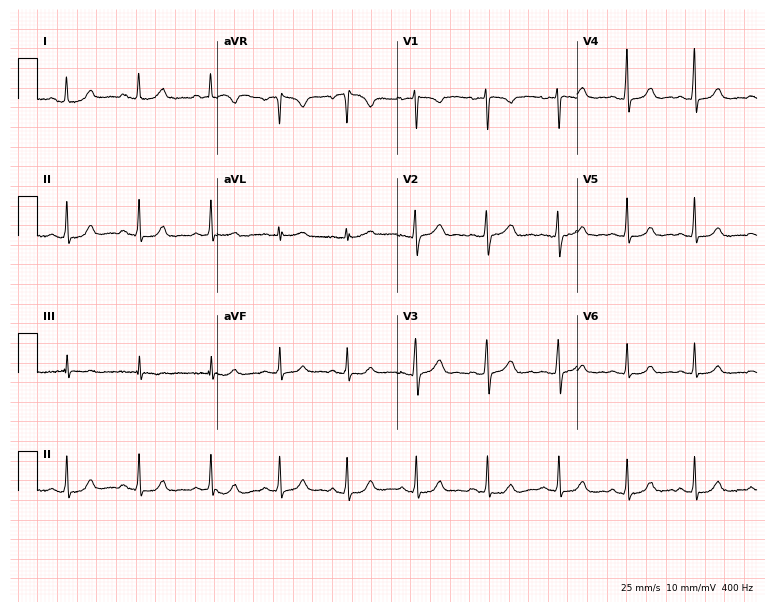
Electrocardiogram, a 23-year-old female. Overall reading on record: normal ECG.